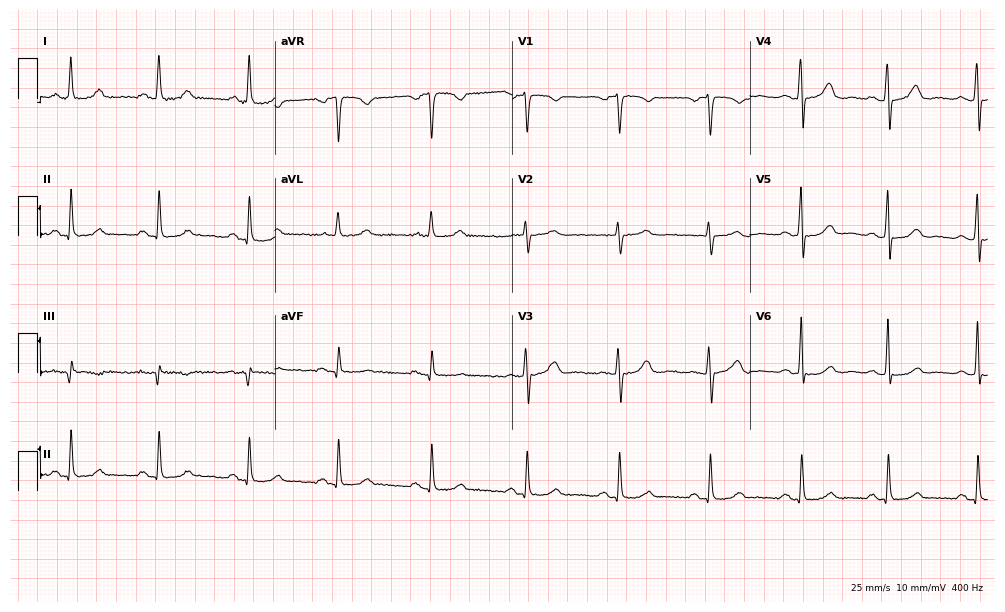
Standard 12-lead ECG recorded from a female patient, 54 years old. Read as a normal ECG.